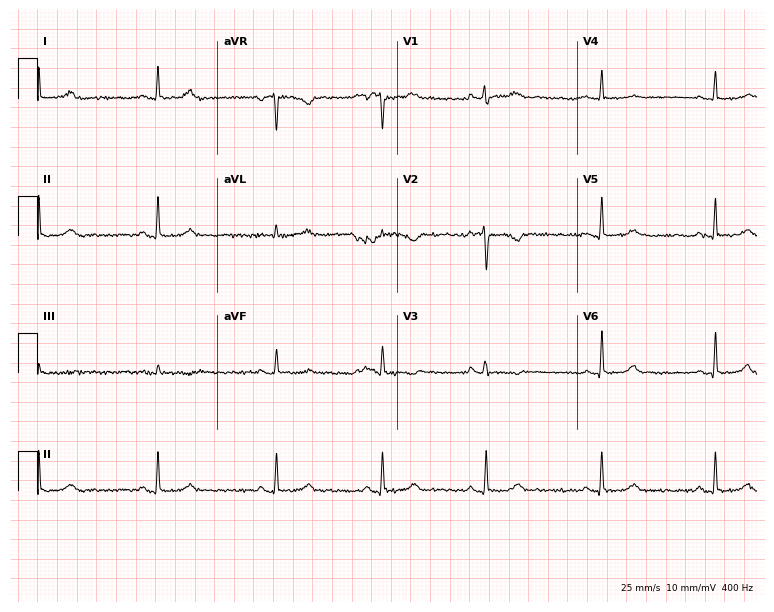
Electrocardiogram, a 44-year-old woman. Of the six screened findings (first-degree AV block, right bundle branch block, left bundle branch block, sinus bradycardia, atrial fibrillation, sinus tachycardia), none is recorded. Other findings, if any, are not listed.